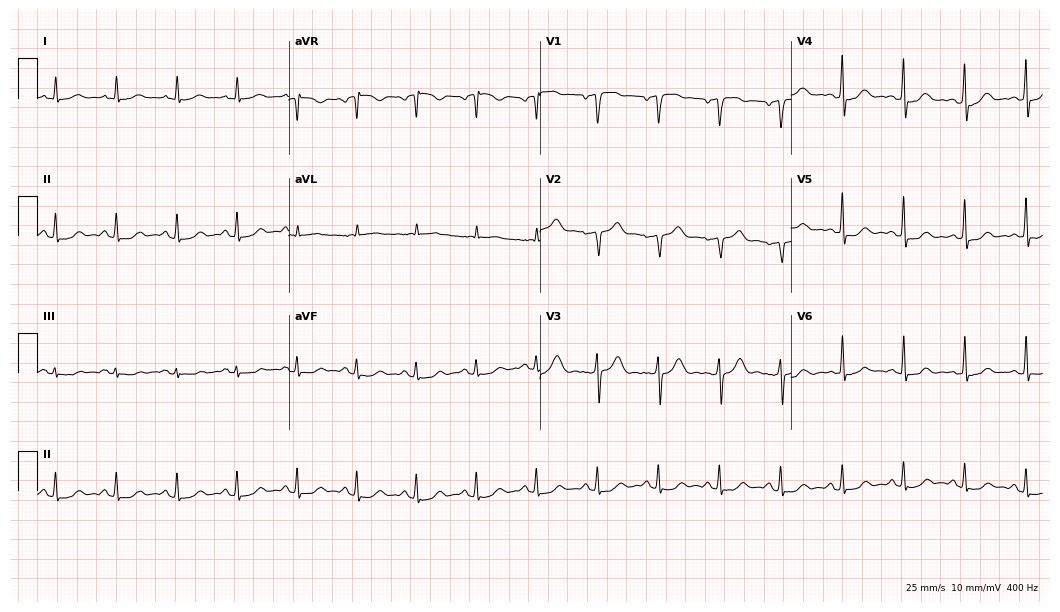
12-lead ECG from a male patient, 64 years old. Labelled as a normal ECG.